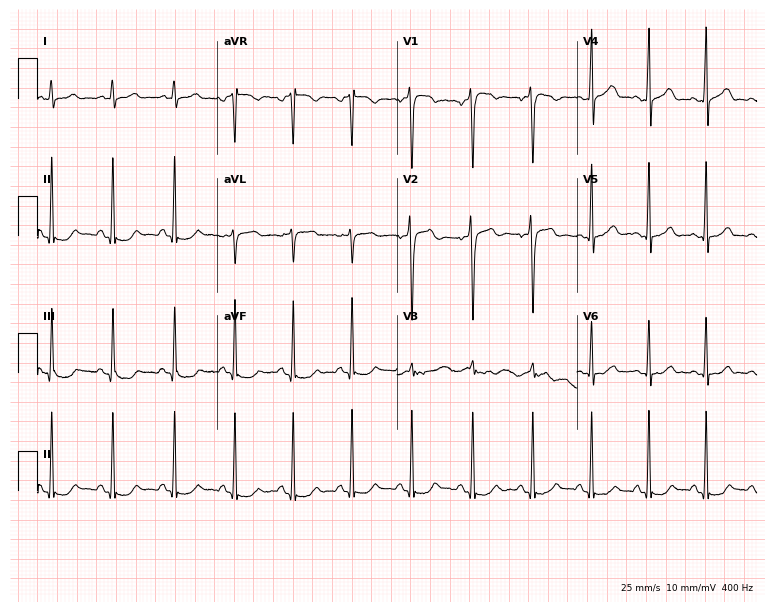
ECG — a male, 23 years old. Labelled as a normal ECG.